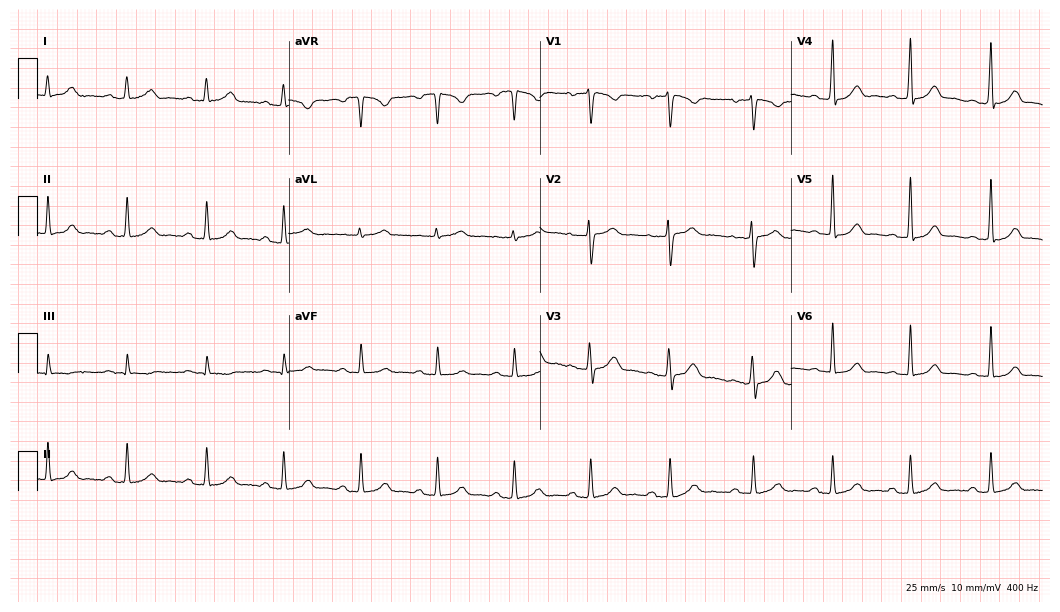
ECG — a 31-year-old woman. Labelled as a normal ECG.